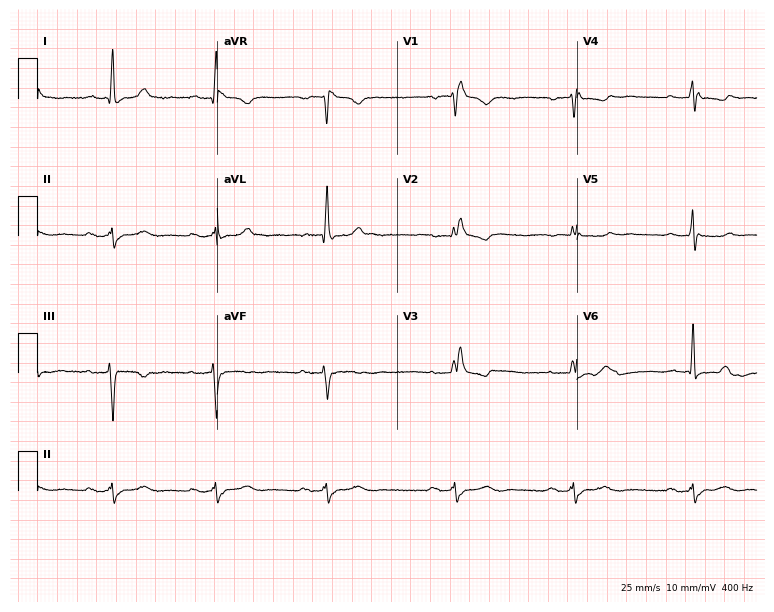
12-lead ECG from a female patient, 76 years old. Shows right bundle branch block.